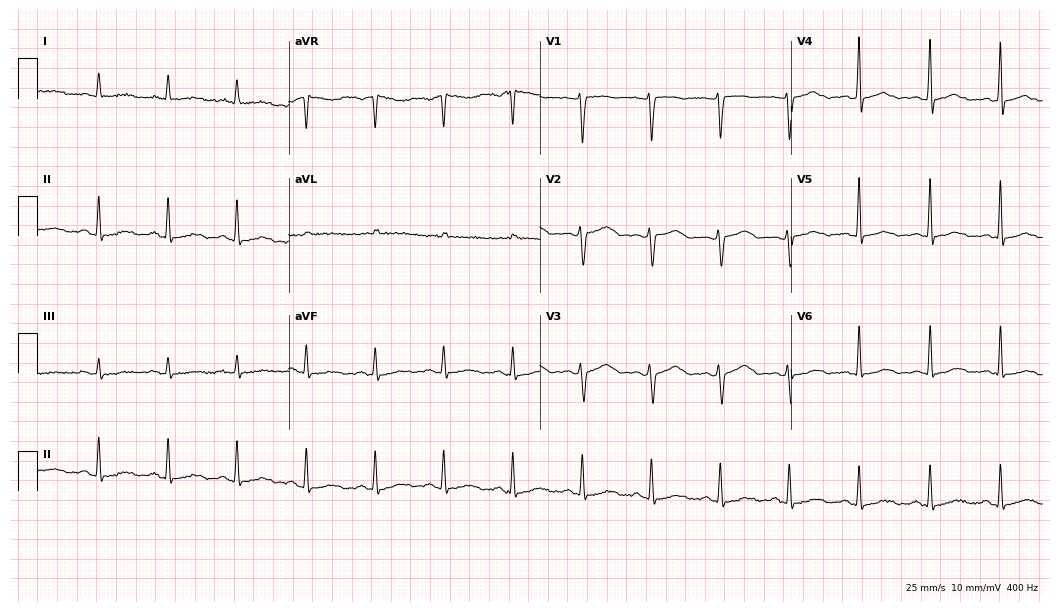
Electrocardiogram, a female patient, 37 years old. Overall reading on record: normal ECG.